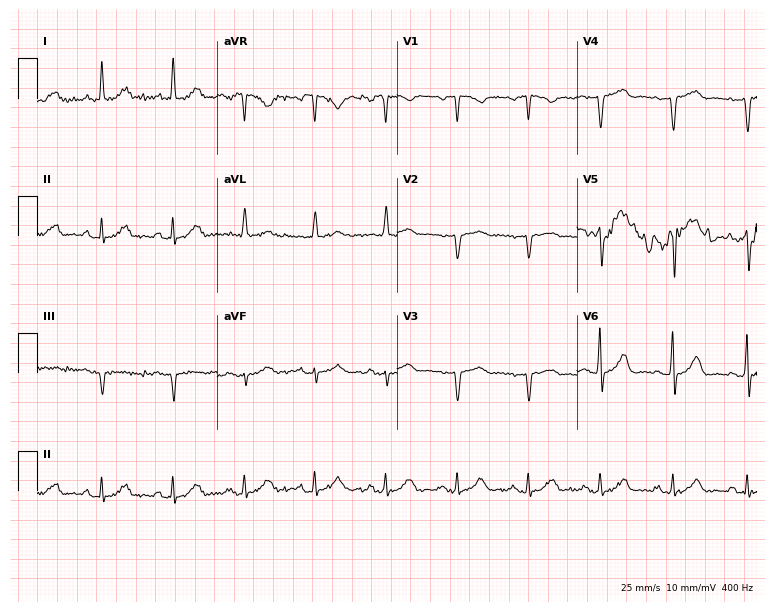
12-lead ECG from a 49-year-old female patient. No first-degree AV block, right bundle branch block (RBBB), left bundle branch block (LBBB), sinus bradycardia, atrial fibrillation (AF) or sinus tachycardia recorded for this tracing. Other findings, if any, are not listed.